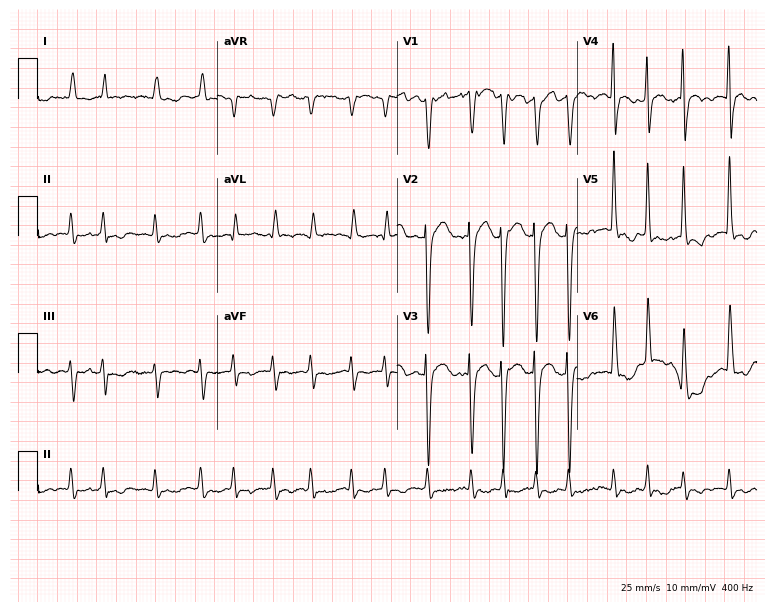
Electrocardiogram (7.3-second recording at 400 Hz), a 79-year-old woman. Interpretation includes atrial fibrillation.